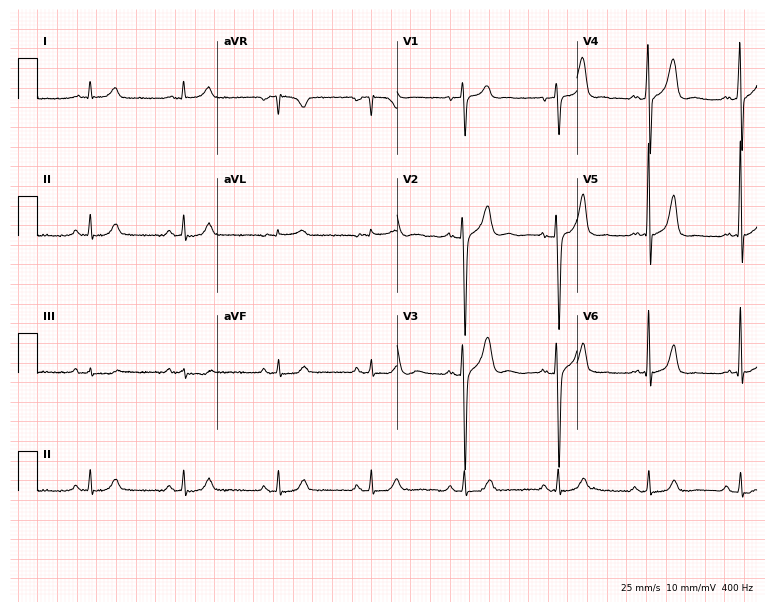
Standard 12-lead ECG recorded from a man, 59 years old (7.3-second recording at 400 Hz). None of these six findings is recorded: first-degree AV block, right bundle branch block, left bundle branch block, sinus bradycardia, atrial fibrillation, sinus tachycardia.